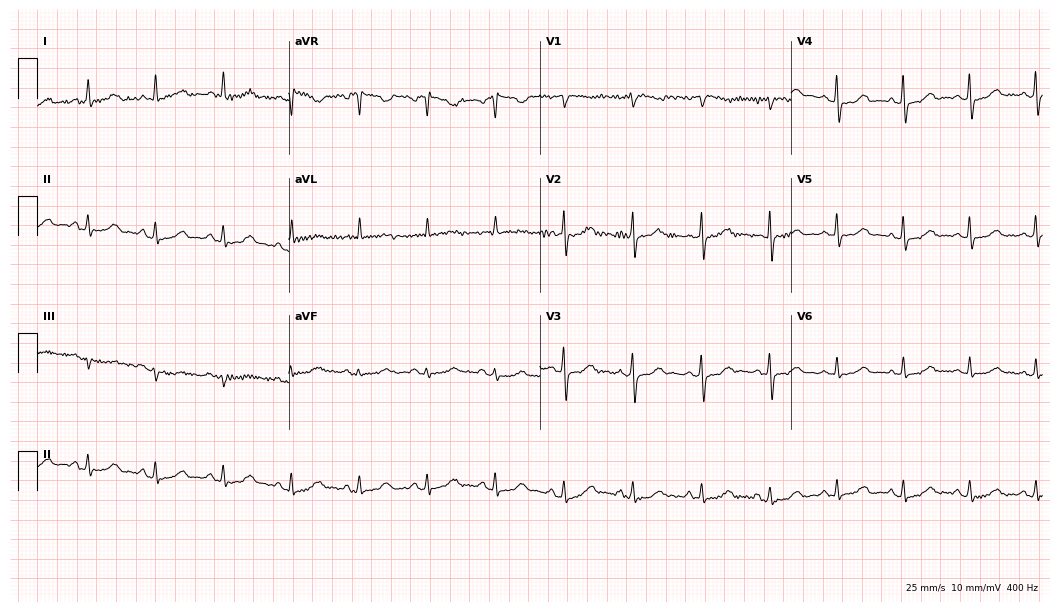
12-lead ECG from a female, 58 years old (10.2-second recording at 400 Hz). Recorded interpretation: within normal limits.